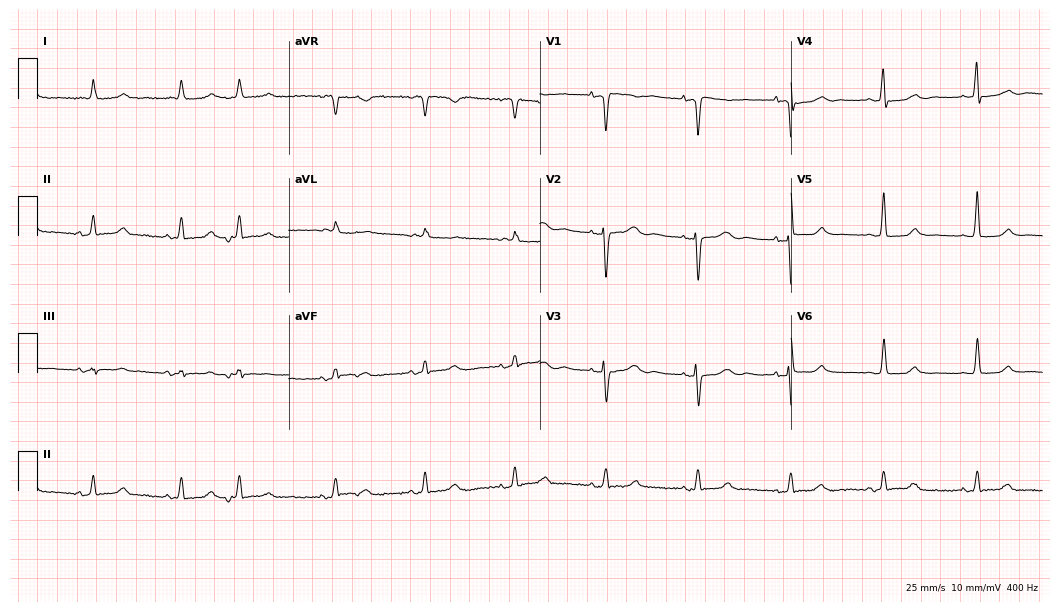
12-lead ECG from a female, 82 years old. No first-degree AV block, right bundle branch block (RBBB), left bundle branch block (LBBB), sinus bradycardia, atrial fibrillation (AF) or sinus tachycardia recorded for this tracing. Other findings, if any, are not listed.